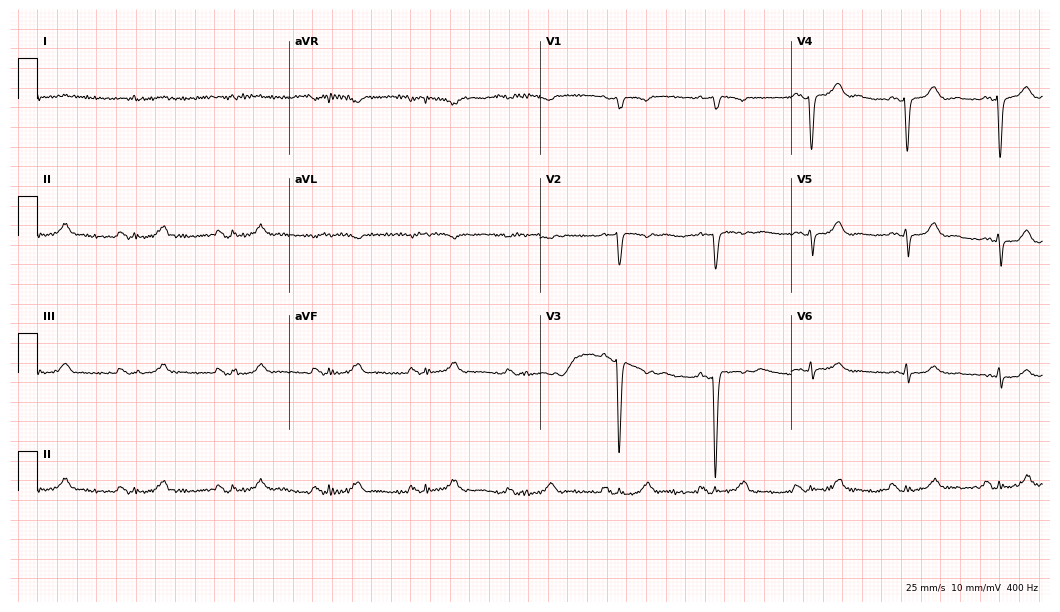
ECG (10.2-second recording at 400 Hz) — a 75-year-old male. Screened for six findings — first-degree AV block, right bundle branch block (RBBB), left bundle branch block (LBBB), sinus bradycardia, atrial fibrillation (AF), sinus tachycardia — none is recorded. Only these six findings were labelled.